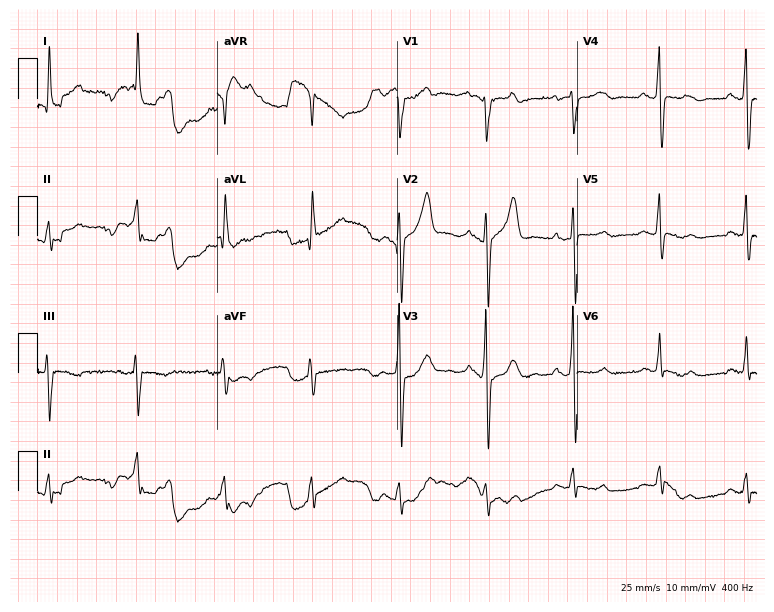
ECG (7.3-second recording at 400 Hz) — a man, 53 years old. Labelled as a normal ECG.